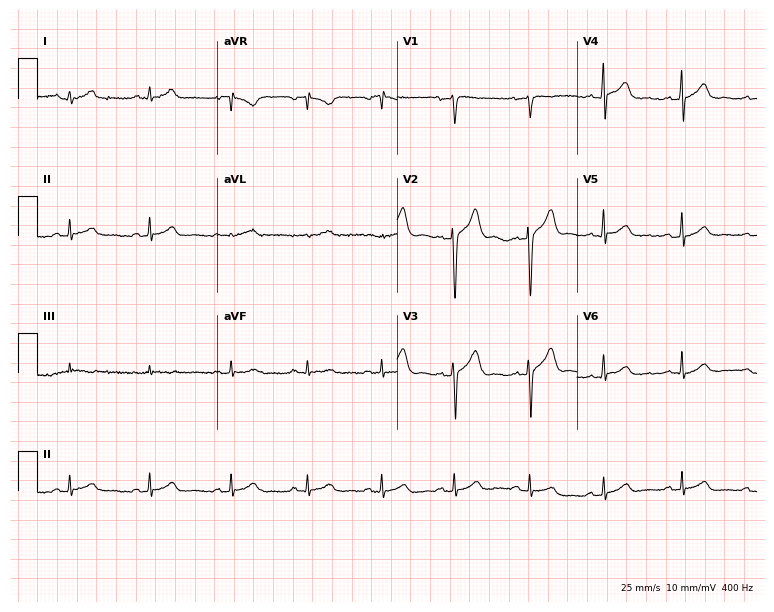
Standard 12-lead ECG recorded from a 44-year-old woman (7.3-second recording at 400 Hz). Read as a normal ECG.